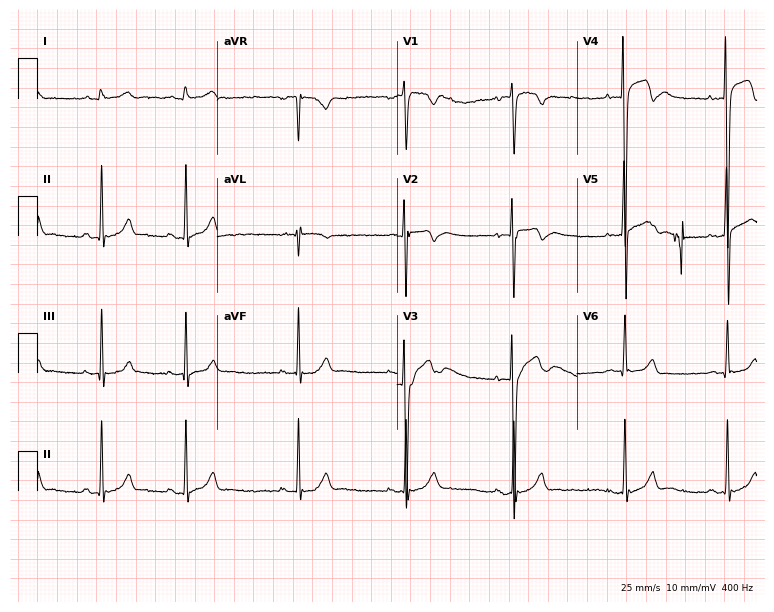
Standard 12-lead ECG recorded from a male, 18 years old. None of these six findings is recorded: first-degree AV block, right bundle branch block, left bundle branch block, sinus bradycardia, atrial fibrillation, sinus tachycardia. Findings outside these six are not listed.